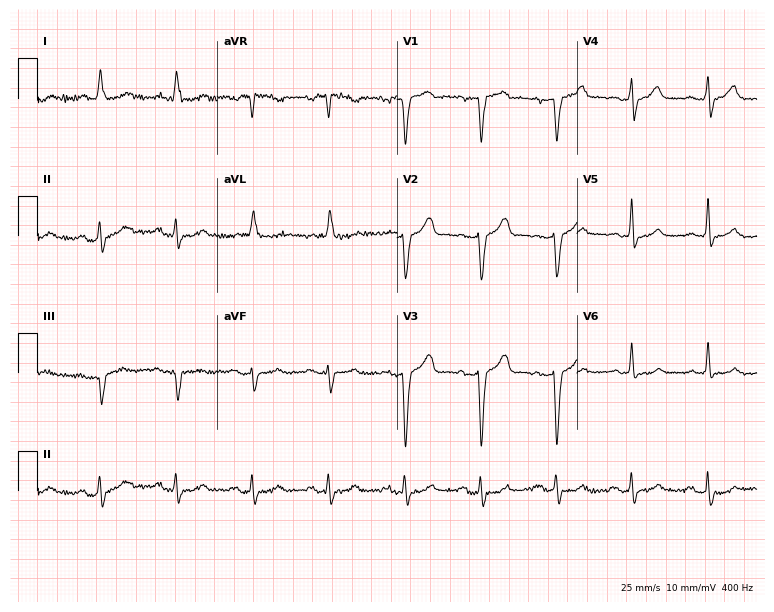
Standard 12-lead ECG recorded from a 76-year-old male (7.3-second recording at 400 Hz). None of these six findings is recorded: first-degree AV block, right bundle branch block, left bundle branch block, sinus bradycardia, atrial fibrillation, sinus tachycardia.